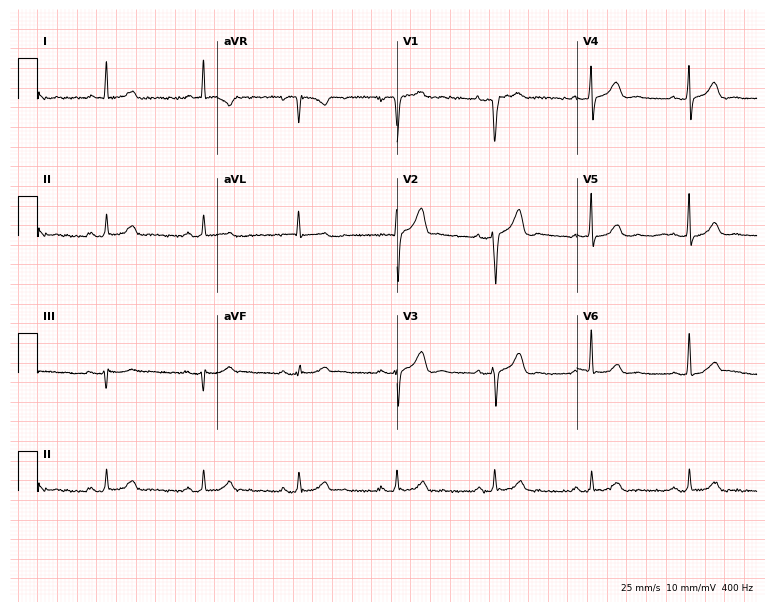
12-lead ECG from a 59-year-old male patient. Recorded interpretation: within normal limits.